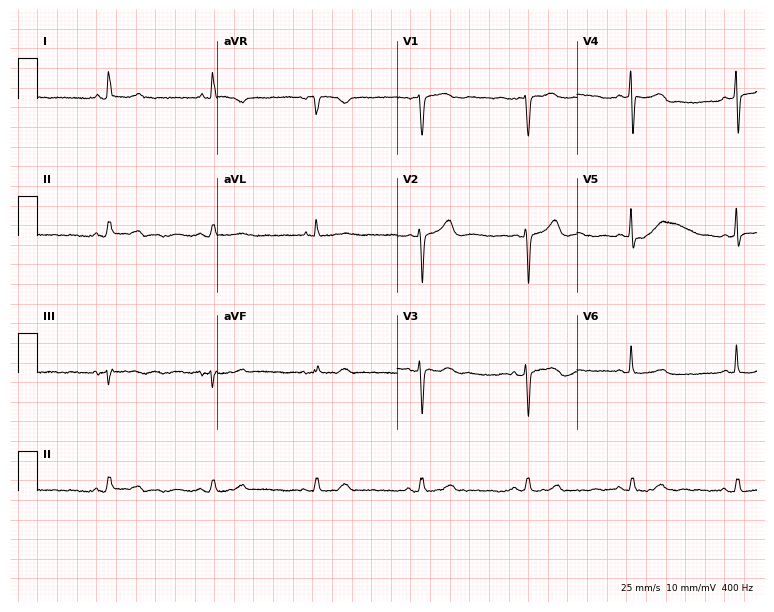
Resting 12-lead electrocardiogram. Patient: a female, 73 years old. Read as a normal ECG.